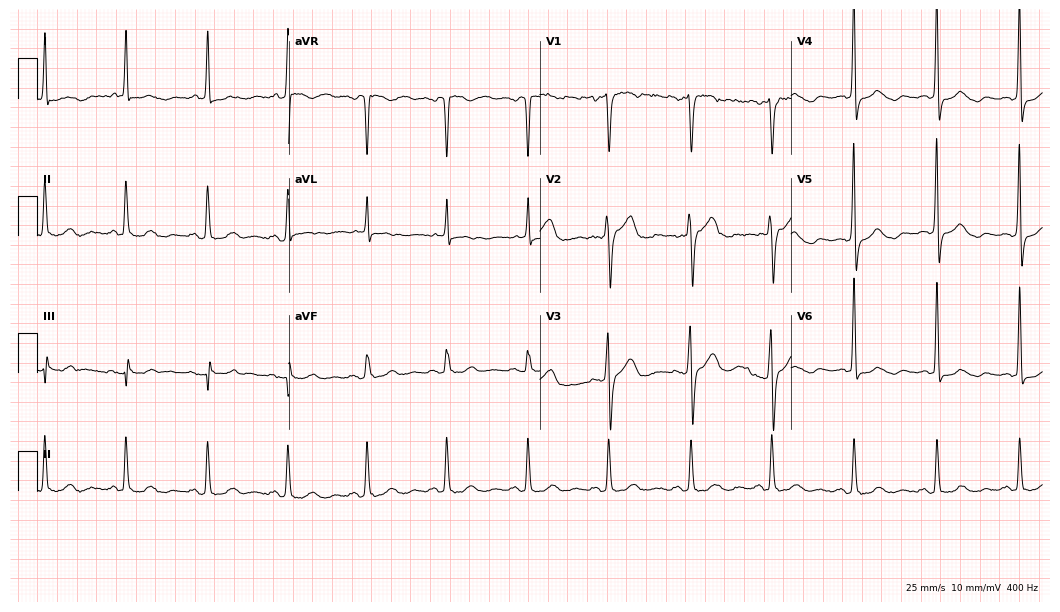
12-lead ECG from a woman, 66 years old (10.2-second recording at 400 Hz). No first-degree AV block, right bundle branch block, left bundle branch block, sinus bradycardia, atrial fibrillation or sinus tachycardia recorded for this tracing. Other findings, if any, are not listed.